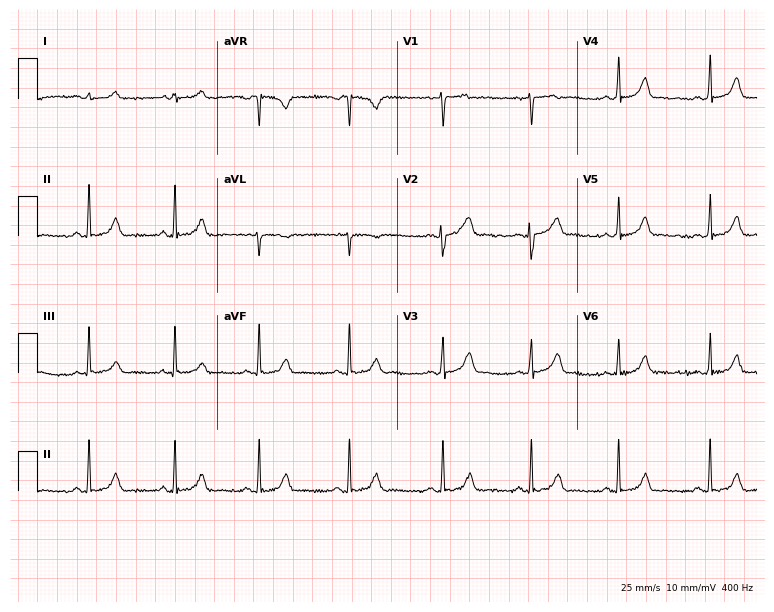
Electrocardiogram, a 22-year-old woman. Overall reading on record: normal ECG.